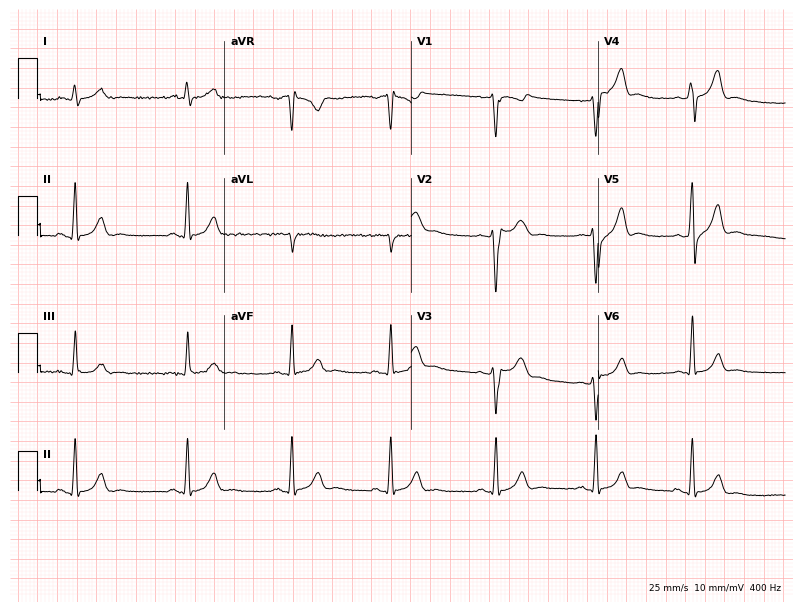
12-lead ECG from a 19-year-old male. No first-degree AV block, right bundle branch block (RBBB), left bundle branch block (LBBB), sinus bradycardia, atrial fibrillation (AF) or sinus tachycardia recorded for this tracing.